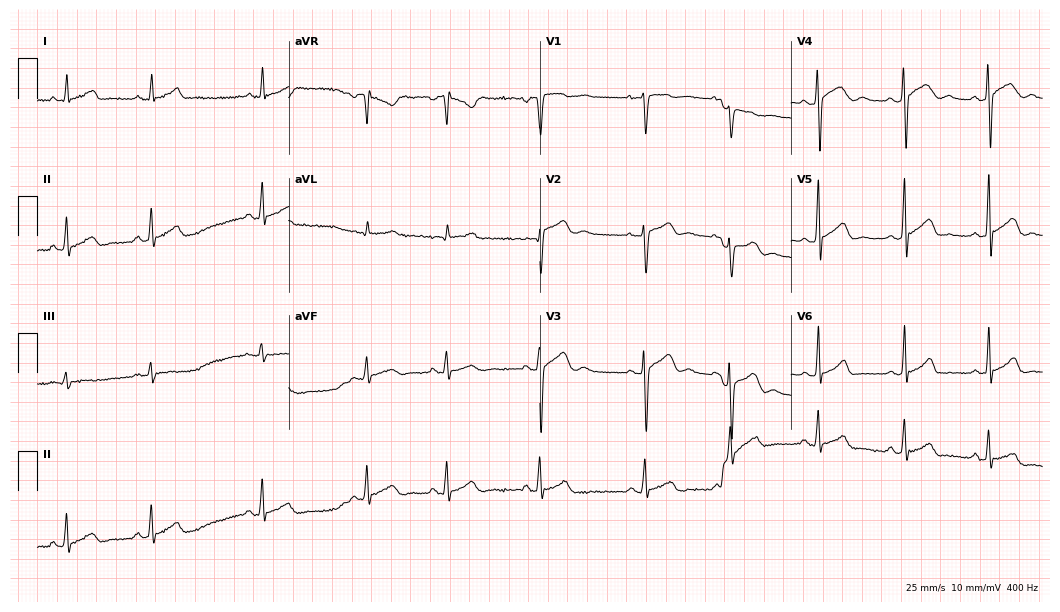
ECG (10.2-second recording at 400 Hz) — a female, 20 years old. Screened for six findings — first-degree AV block, right bundle branch block, left bundle branch block, sinus bradycardia, atrial fibrillation, sinus tachycardia — none is recorded. Only these six findings were labelled.